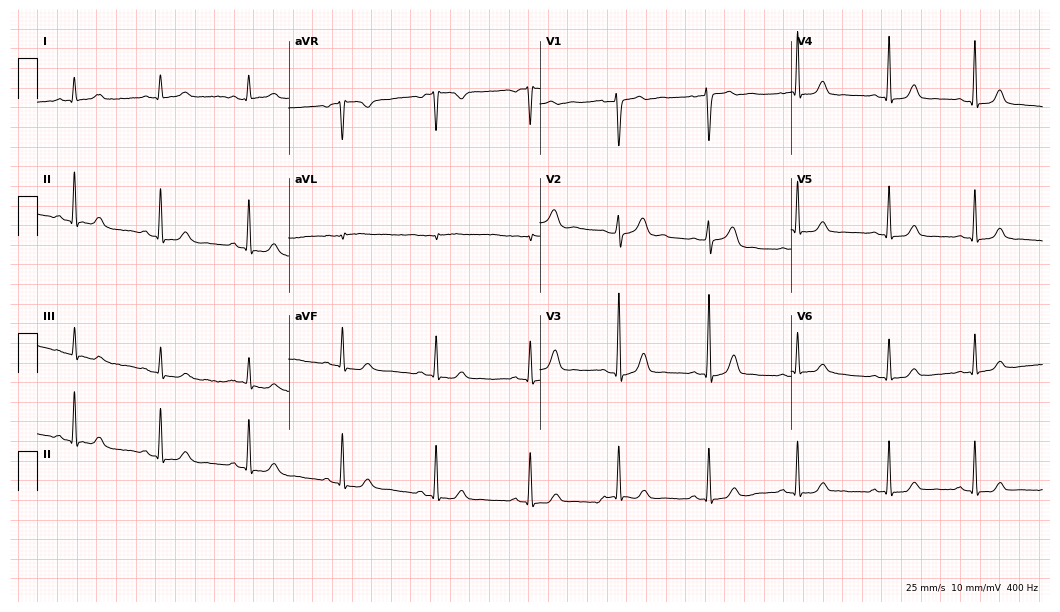
ECG — a 39-year-old female. Labelled as a normal ECG.